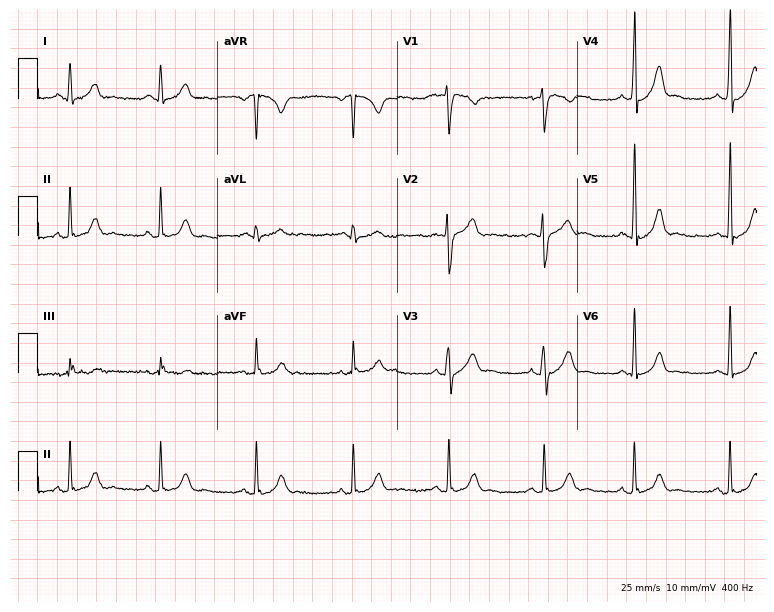
Standard 12-lead ECG recorded from a man, 20 years old. Read as a normal ECG.